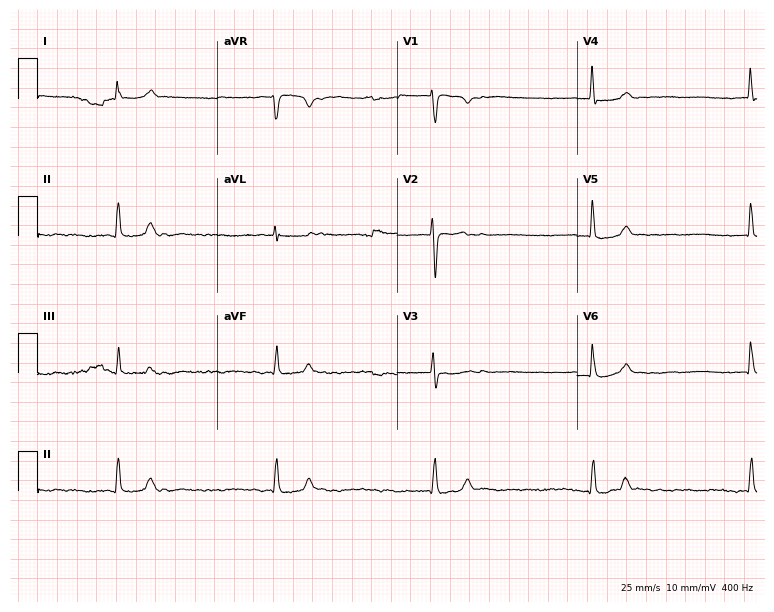
Standard 12-lead ECG recorded from a woman, 69 years old (7.3-second recording at 400 Hz). None of these six findings is recorded: first-degree AV block, right bundle branch block, left bundle branch block, sinus bradycardia, atrial fibrillation, sinus tachycardia.